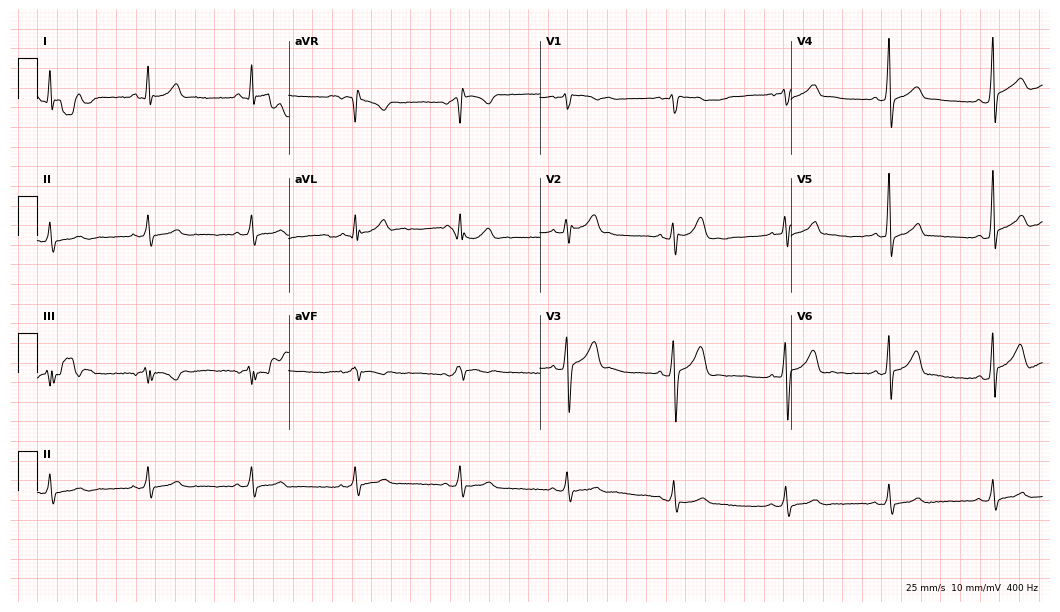
Resting 12-lead electrocardiogram. Patient: a 24-year-old male. None of these six findings is recorded: first-degree AV block, right bundle branch block, left bundle branch block, sinus bradycardia, atrial fibrillation, sinus tachycardia. Findings outside these six are not listed.